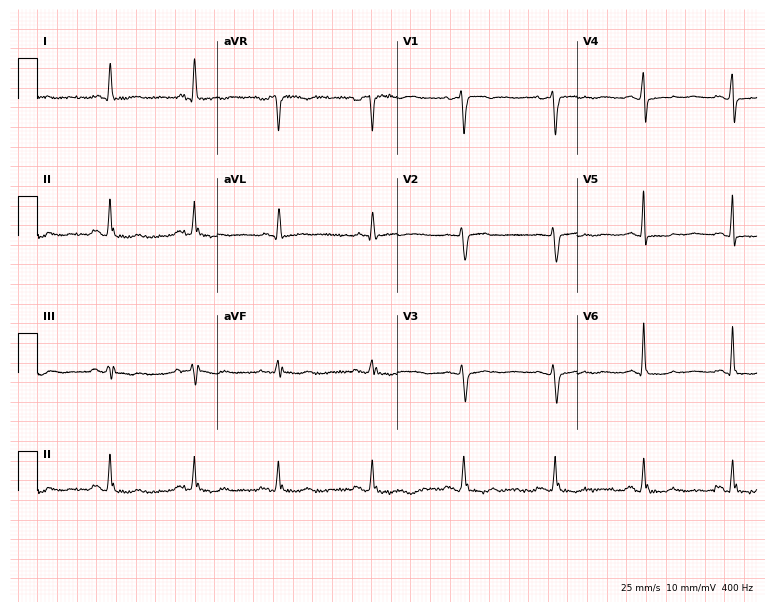
Electrocardiogram, a 19-year-old female patient. Overall reading on record: normal ECG.